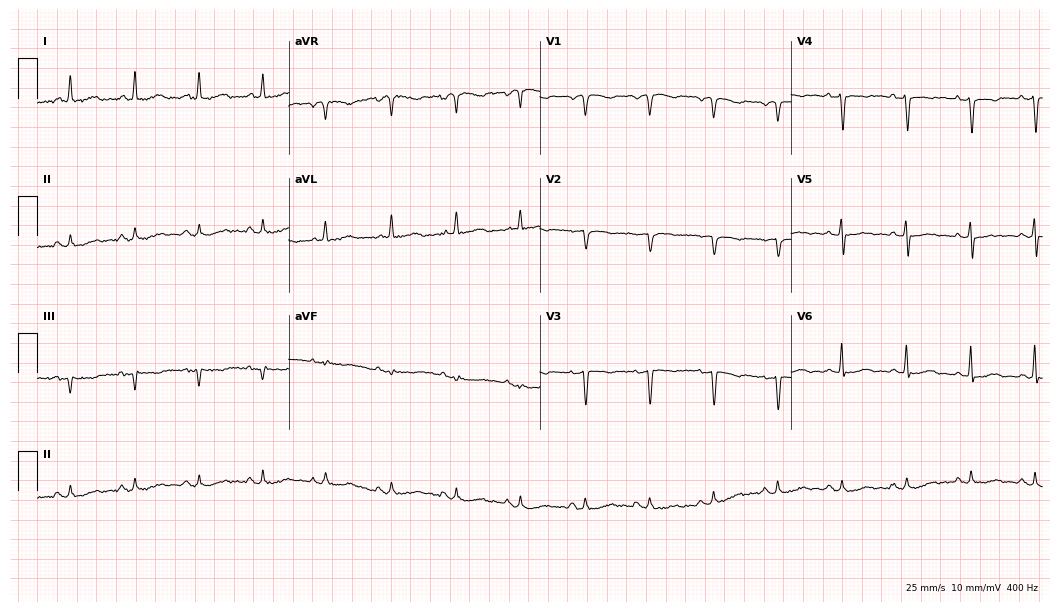
Standard 12-lead ECG recorded from a woman, 84 years old (10.2-second recording at 400 Hz). None of these six findings is recorded: first-degree AV block, right bundle branch block, left bundle branch block, sinus bradycardia, atrial fibrillation, sinus tachycardia.